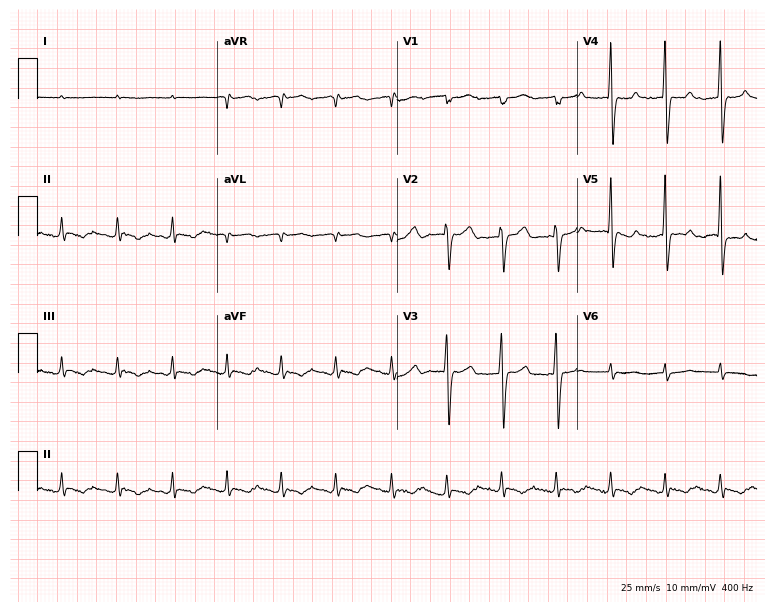
12-lead ECG (7.3-second recording at 400 Hz) from a man, 60 years old. Findings include sinus tachycardia (a sinus rate of 100 beats per minute or more).